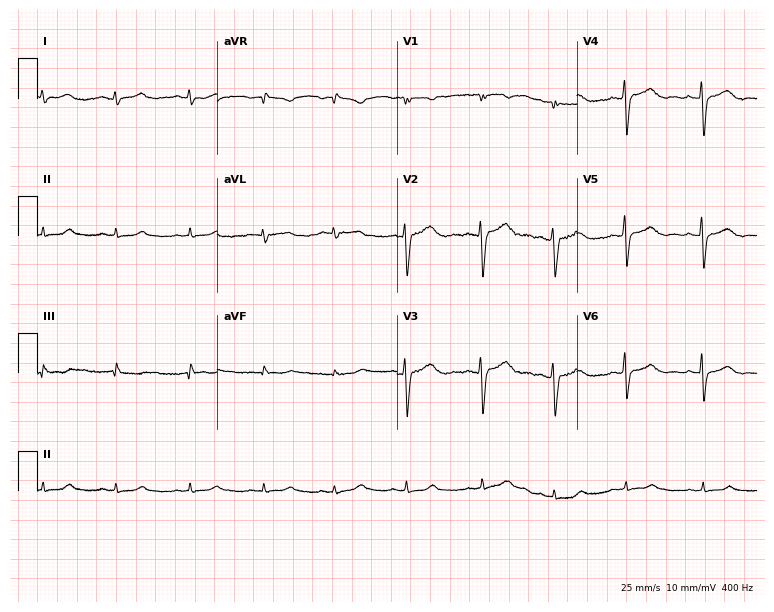
12-lead ECG from a female patient, 30 years old. No first-degree AV block, right bundle branch block, left bundle branch block, sinus bradycardia, atrial fibrillation or sinus tachycardia recorded for this tracing.